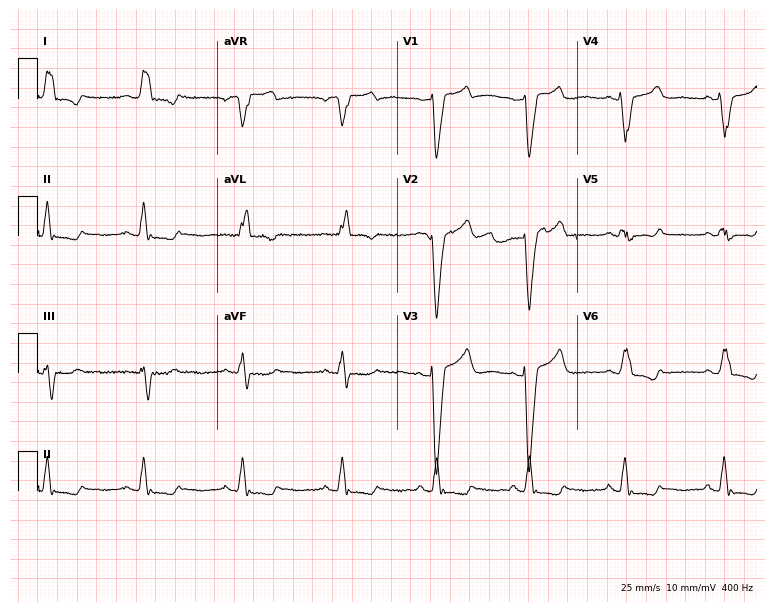
ECG (7.3-second recording at 400 Hz) — a 66-year-old female patient. Findings include left bundle branch block.